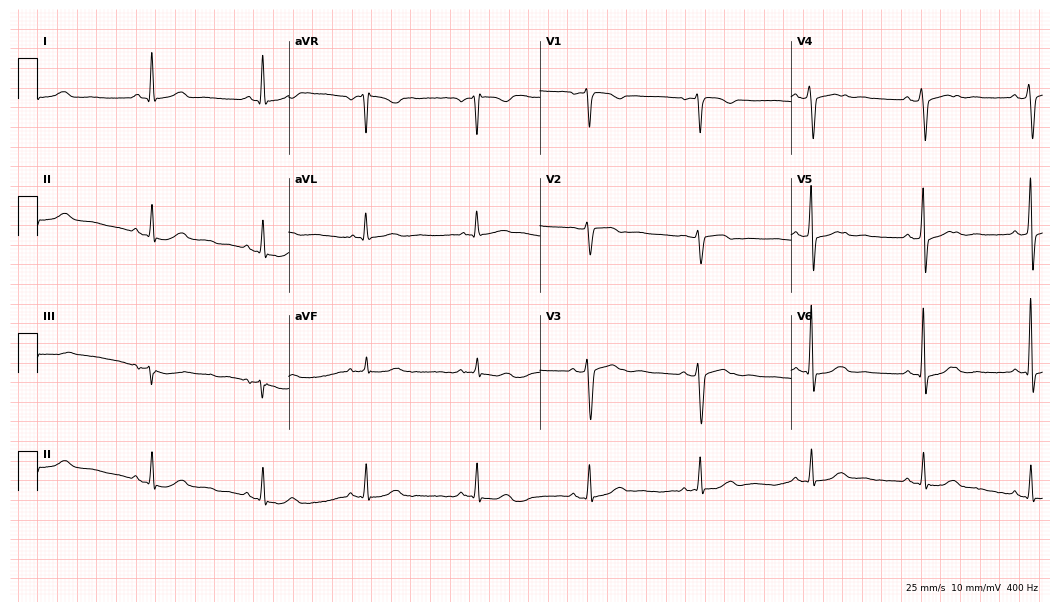
Electrocardiogram (10.2-second recording at 400 Hz), a female patient, 59 years old. Of the six screened findings (first-degree AV block, right bundle branch block, left bundle branch block, sinus bradycardia, atrial fibrillation, sinus tachycardia), none is recorded. Other findings, if any, are not listed.